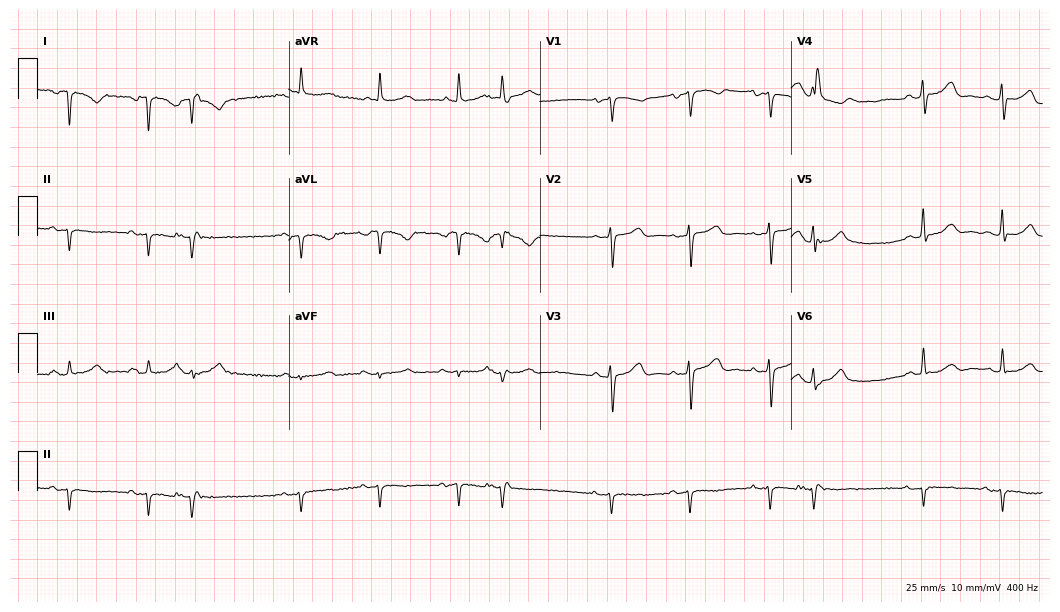
12-lead ECG from an 80-year-old female patient. Screened for six findings — first-degree AV block, right bundle branch block, left bundle branch block, sinus bradycardia, atrial fibrillation, sinus tachycardia — none is recorded. Other findings, if any, are not listed.